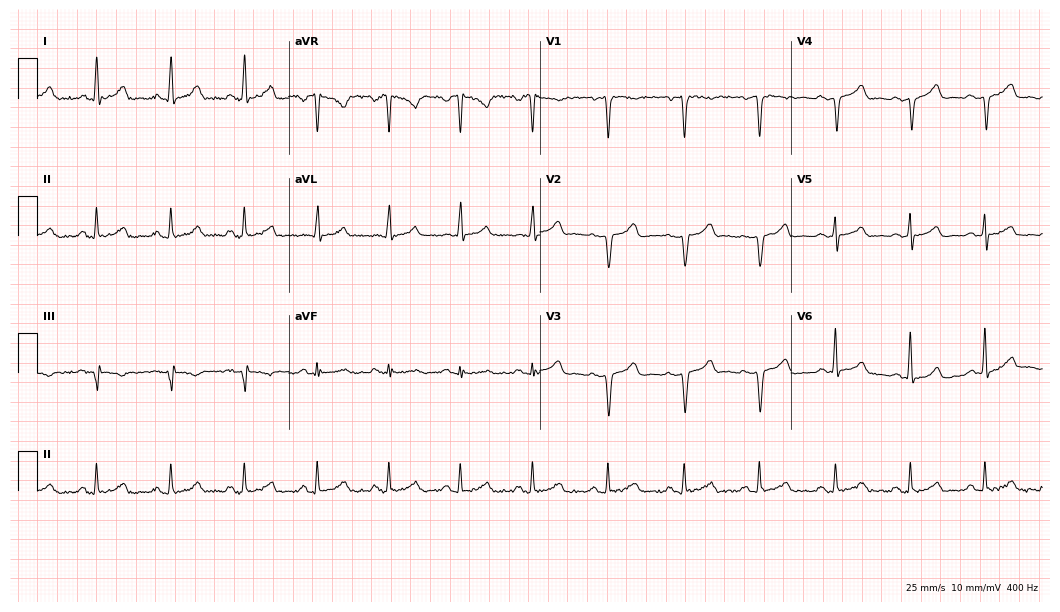
Standard 12-lead ECG recorded from a 39-year-old female patient (10.2-second recording at 400 Hz). Read as a normal ECG.